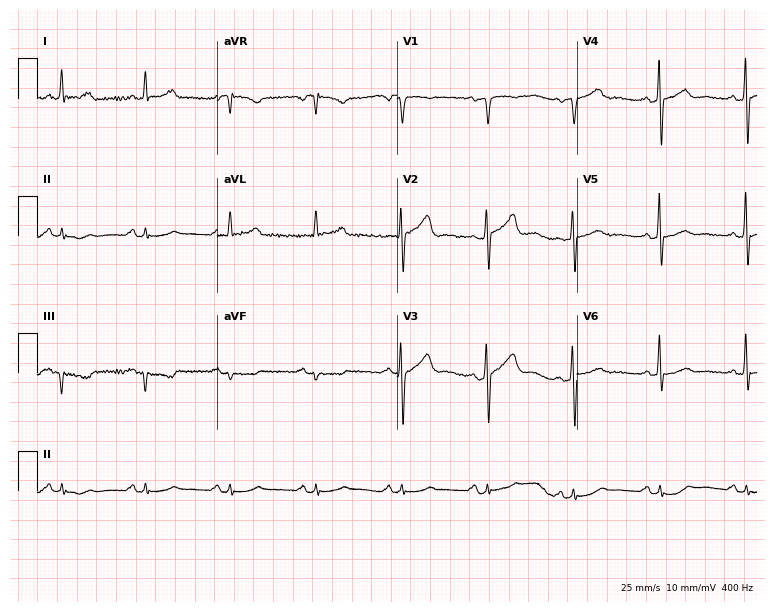
Resting 12-lead electrocardiogram (7.3-second recording at 400 Hz). Patient: a male, 67 years old. None of these six findings is recorded: first-degree AV block, right bundle branch block (RBBB), left bundle branch block (LBBB), sinus bradycardia, atrial fibrillation (AF), sinus tachycardia.